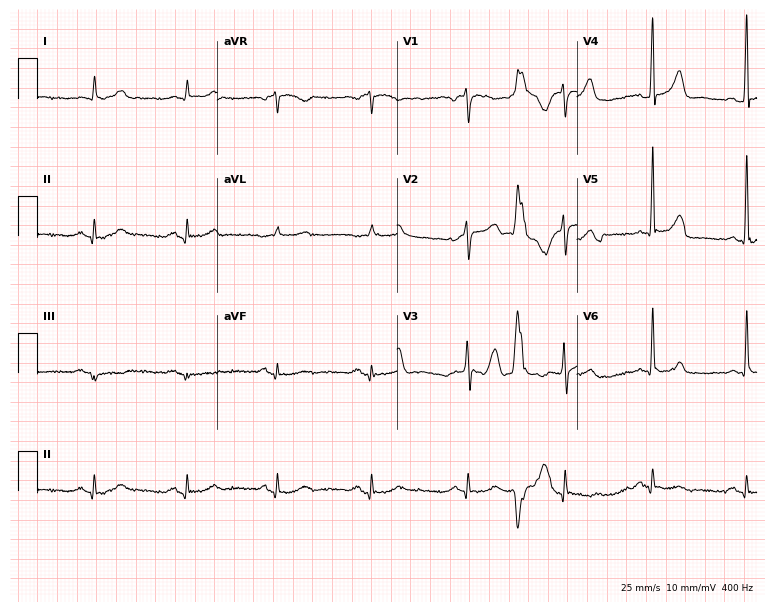
12-lead ECG from a 79-year-old male patient. No first-degree AV block, right bundle branch block, left bundle branch block, sinus bradycardia, atrial fibrillation or sinus tachycardia recorded for this tracing.